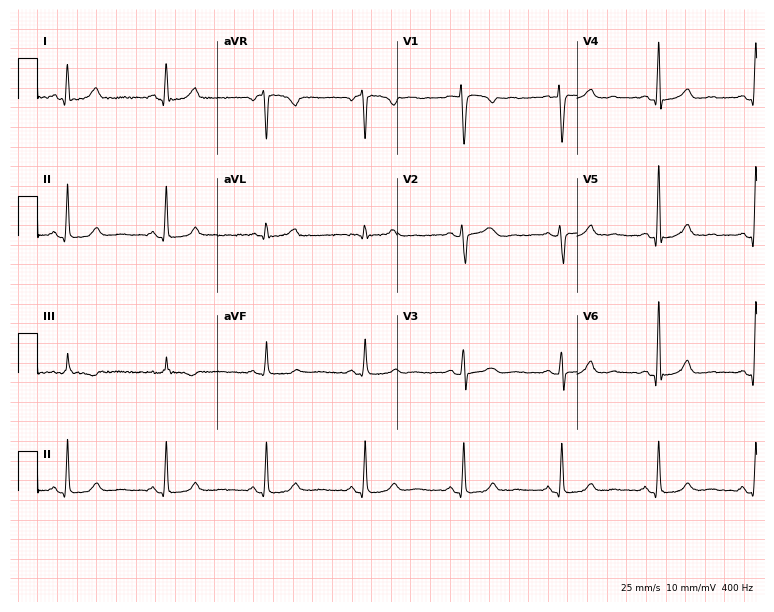
Resting 12-lead electrocardiogram (7.3-second recording at 400 Hz). Patient: a 52-year-old female. Read as a normal ECG.